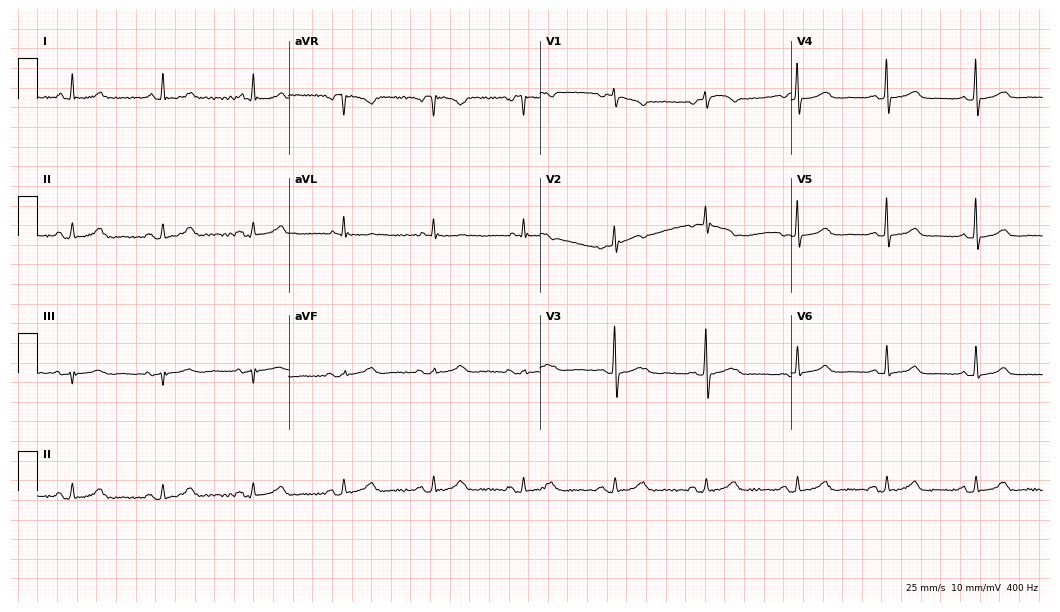
Standard 12-lead ECG recorded from a 58-year-old female. Read as a normal ECG.